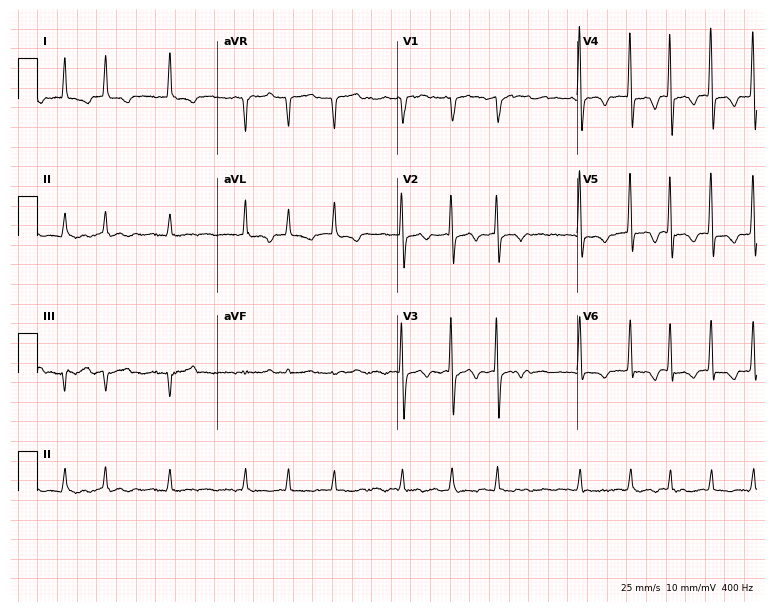
12-lead ECG from a 73-year-old female. Screened for six findings — first-degree AV block, right bundle branch block (RBBB), left bundle branch block (LBBB), sinus bradycardia, atrial fibrillation (AF), sinus tachycardia — none is recorded.